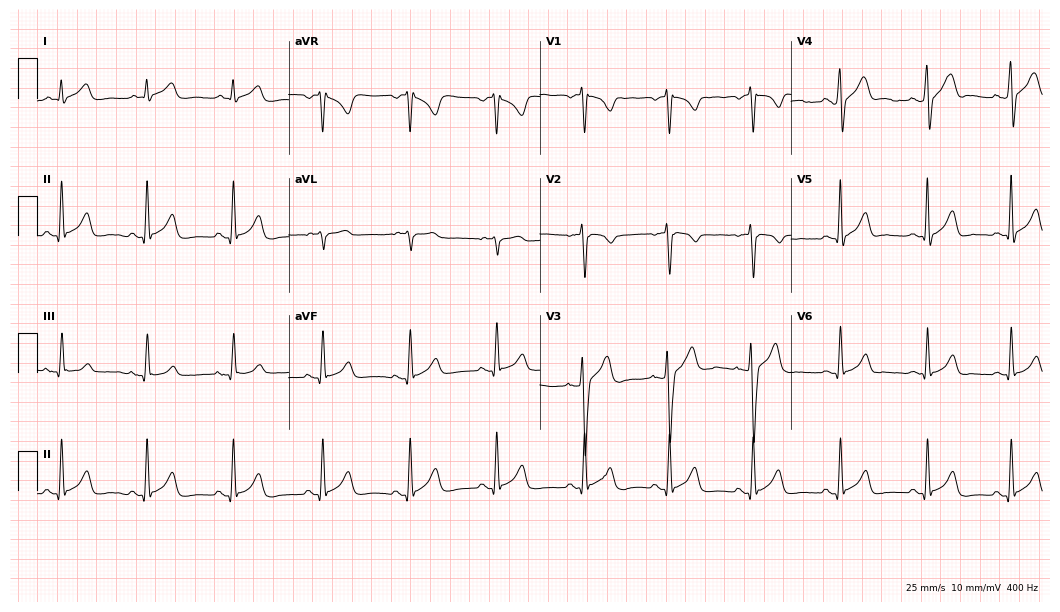
Resting 12-lead electrocardiogram (10.2-second recording at 400 Hz). Patient: a 34-year-old male. None of these six findings is recorded: first-degree AV block, right bundle branch block (RBBB), left bundle branch block (LBBB), sinus bradycardia, atrial fibrillation (AF), sinus tachycardia. Findings outside these six are not listed.